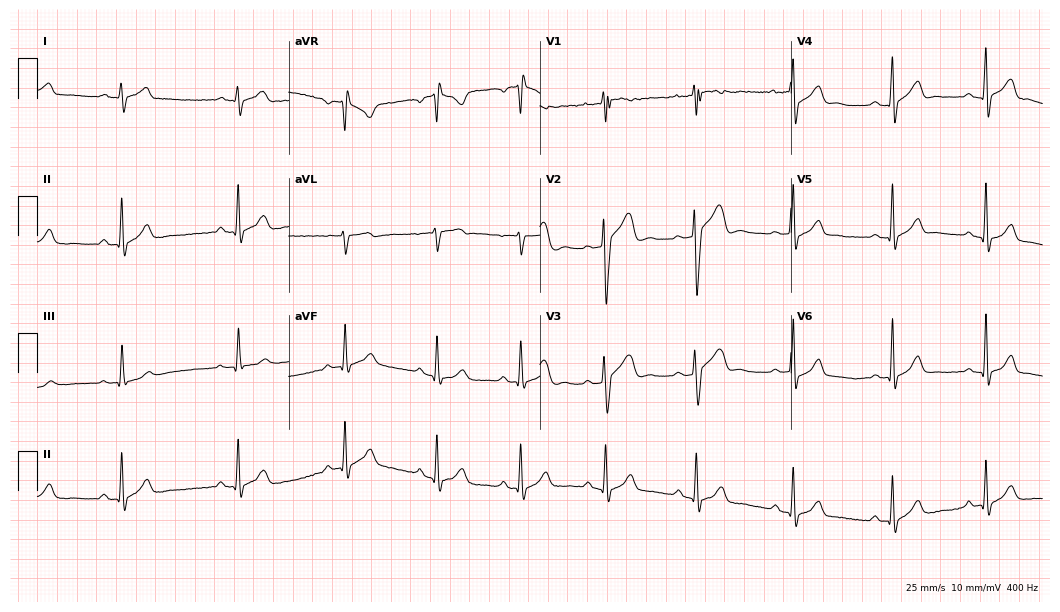
12-lead ECG from a man, 30 years old (10.2-second recording at 400 Hz). No first-degree AV block, right bundle branch block (RBBB), left bundle branch block (LBBB), sinus bradycardia, atrial fibrillation (AF) or sinus tachycardia recorded for this tracing. Other findings, if any, are not listed.